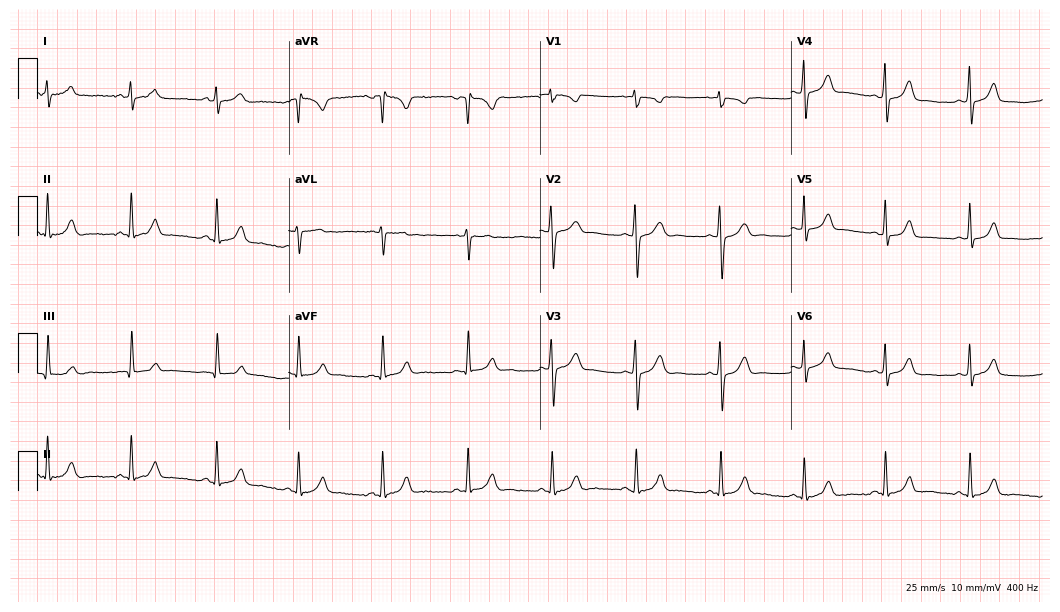
Standard 12-lead ECG recorded from a 19-year-old female patient (10.2-second recording at 400 Hz). Read as a normal ECG.